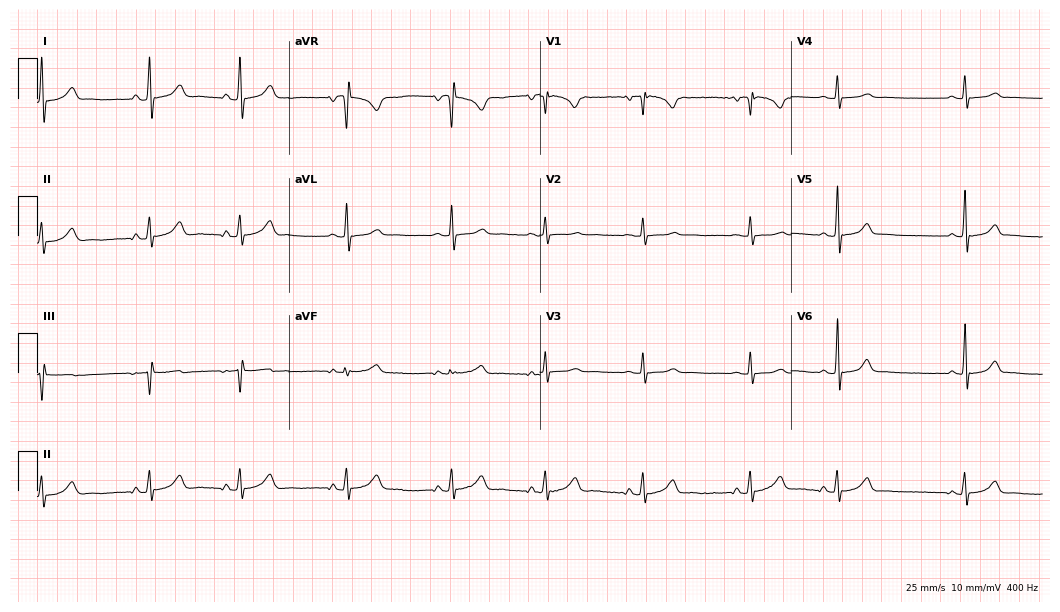
Standard 12-lead ECG recorded from a 26-year-old female. Read as a normal ECG.